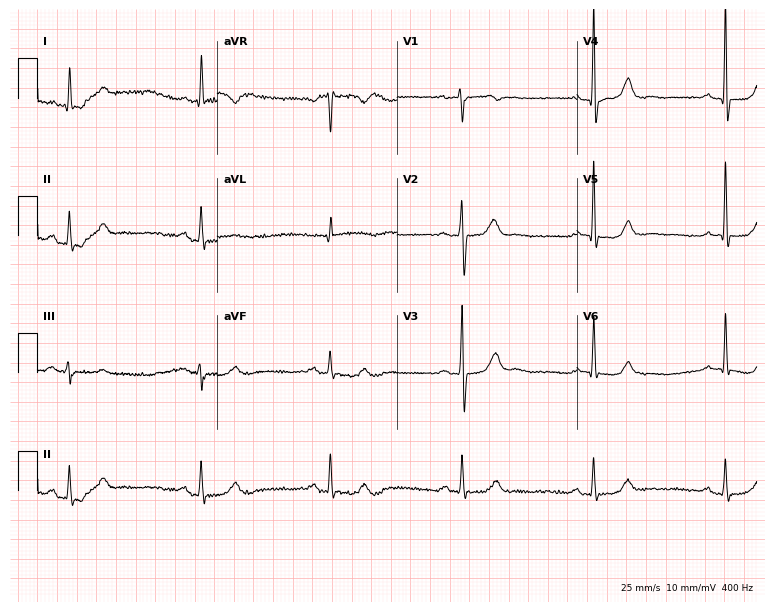
Resting 12-lead electrocardiogram. Patient: a 72-year-old male. None of these six findings is recorded: first-degree AV block, right bundle branch block, left bundle branch block, sinus bradycardia, atrial fibrillation, sinus tachycardia. Findings outside these six are not listed.